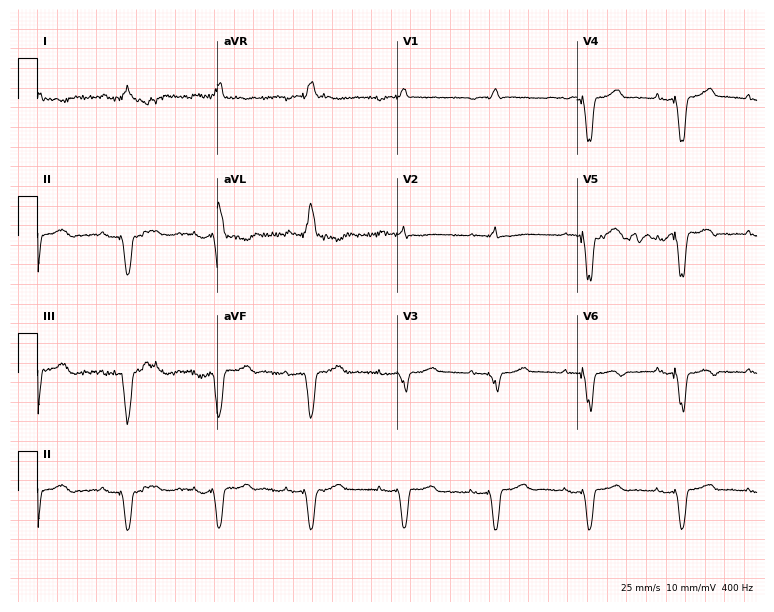
ECG (7.3-second recording at 400 Hz) — a female, 78 years old. Screened for six findings — first-degree AV block, right bundle branch block, left bundle branch block, sinus bradycardia, atrial fibrillation, sinus tachycardia — none is recorded.